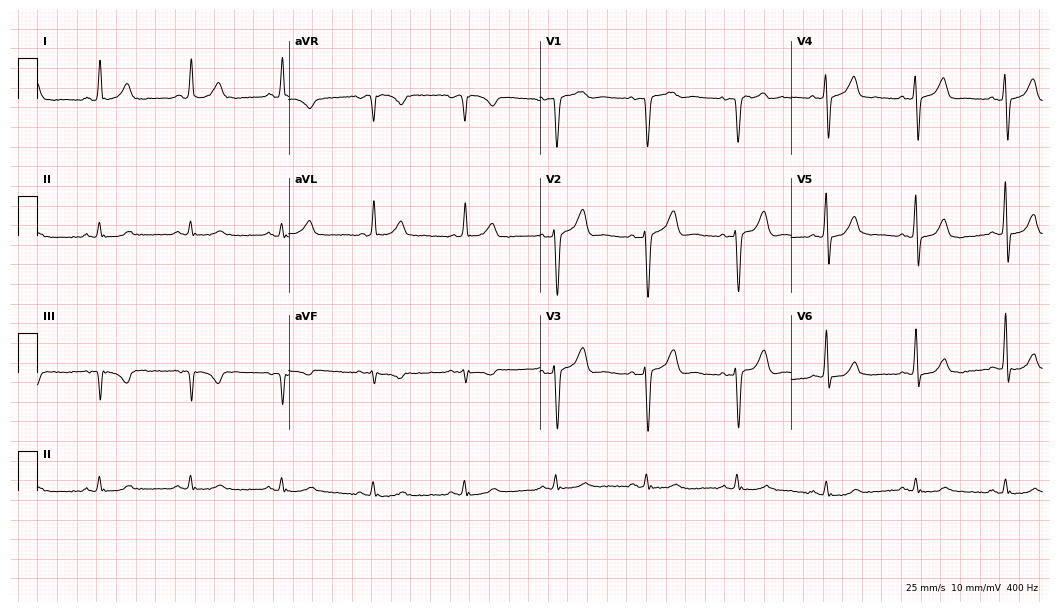
Standard 12-lead ECG recorded from a 65-year-old man (10.2-second recording at 400 Hz). None of these six findings is recorded: first-degree AV block, right bundle branch block, left bundle branch block, sinus bradycardia, atrial fibrillation, sinus tachycardia.